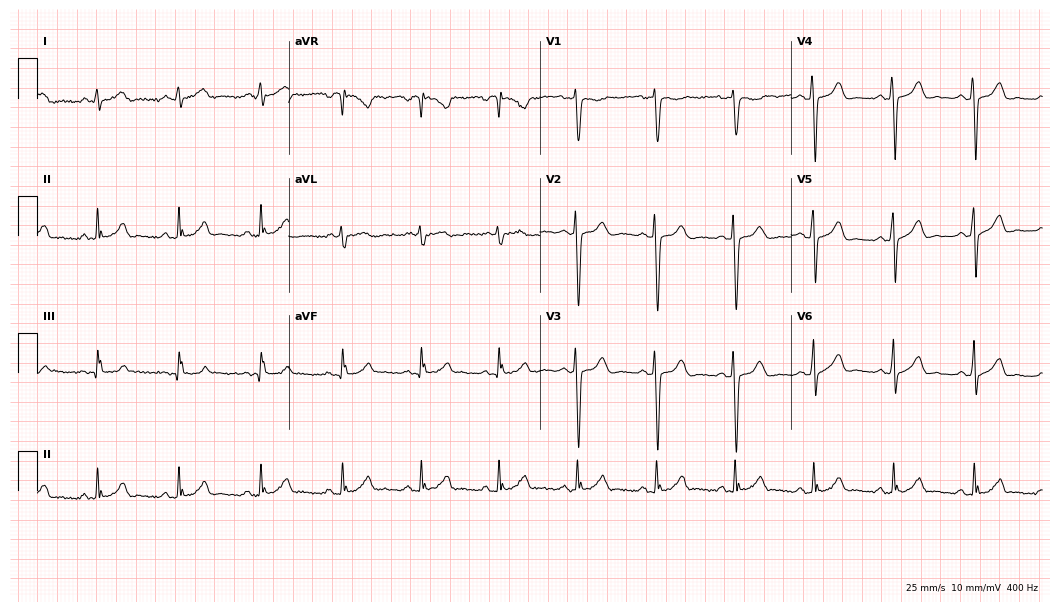
12-lead ECG from a 38-year-old man. Labelled as a normal ECG.